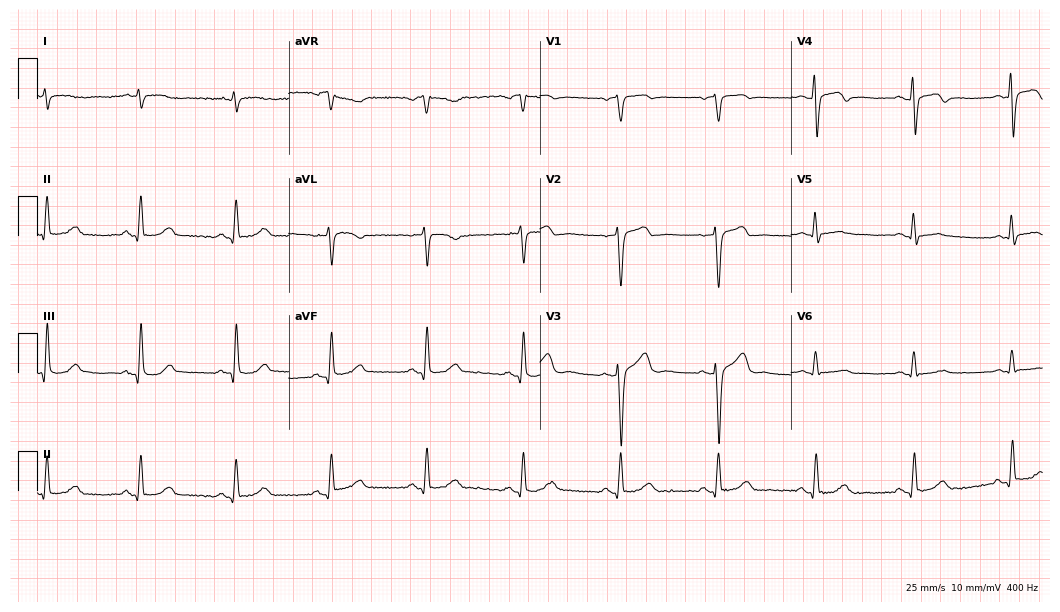
Resting 12-lead electrocardiogram (10.2-second recording at 400 Hz). Patient: a 79-year-old man. None of these six findings is recorded: first-degree AV block, right bundle branch block, left bundle branch block, sinus bradycardia, atrial fibrillation, sinus tachycardia. Findings outside these six are not listed.